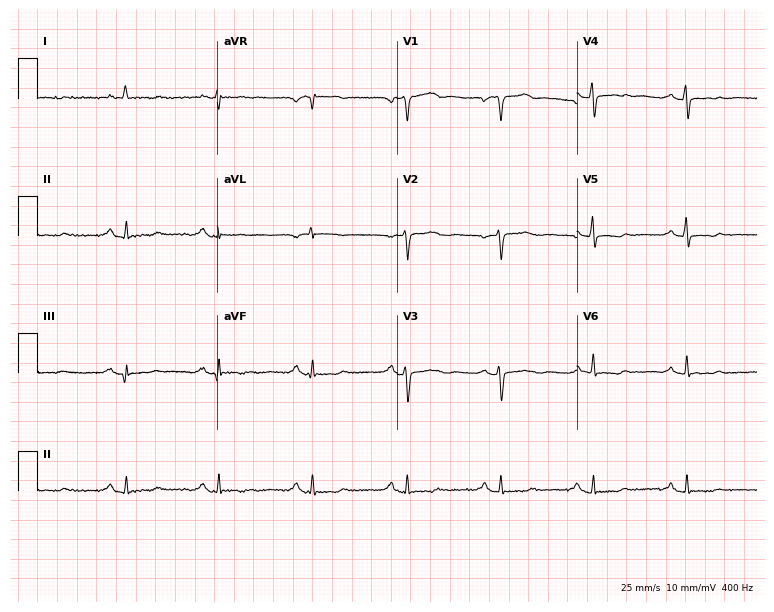
Resting 12-lead electrocardiogram. Patient: a female, 60 years old. None of these six findings is recorded: first-degree AV block, right bundle branch block, left bundle branch block, sinus bradycardia, atrial fibrillation, sinus tachycardia. Other findings, if any, are not listed.